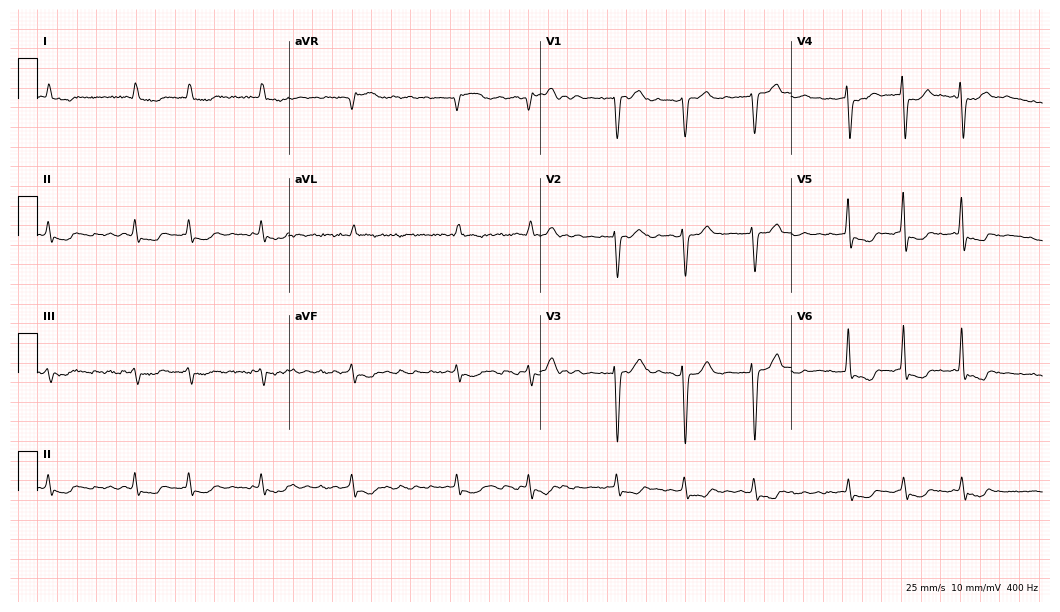
Electrocardiogram, a 59-year-old male patient. Interpretation includes atrial fibrillation (AF).